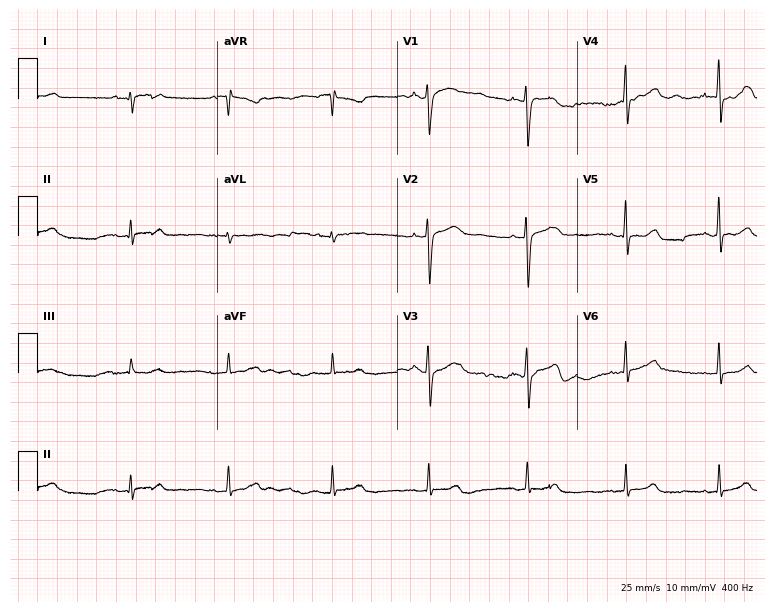
ECG (7.3-second recording at 400 Hz) — a 23-year-old female patient. Labelled as a normal ECG.